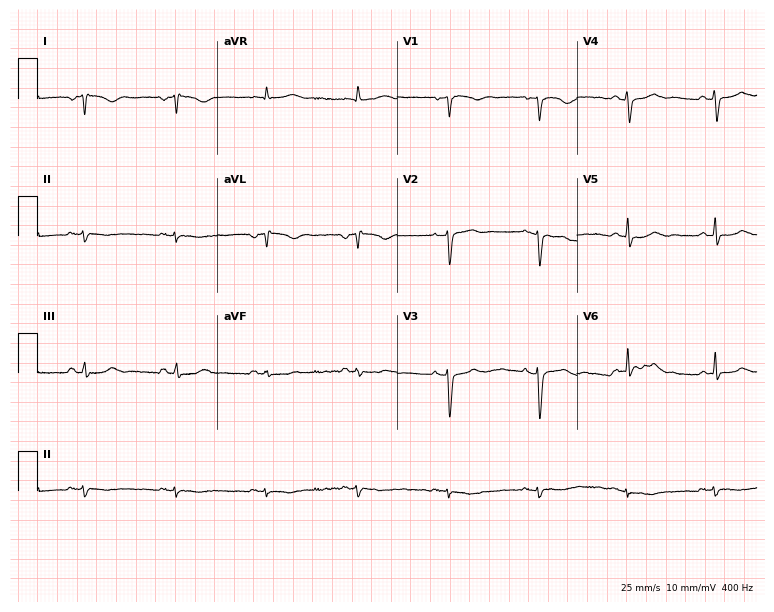
Electrocardiogram, a female, 65 years old. Of the six screened findings (first-degree AV block, right bundle branch block, left bundle branch block, sinus bradycardia, atrial fibrillation, sinus tachycardia), none is recorded.